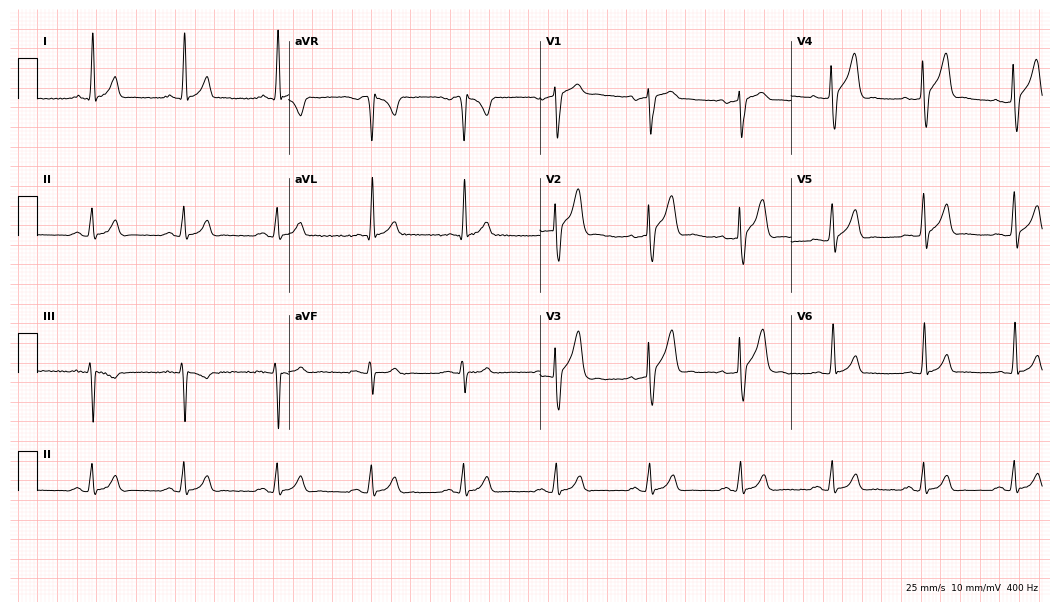
12-lead ECG from a male, 40 years old. Recorded interpretation: within normal limits.